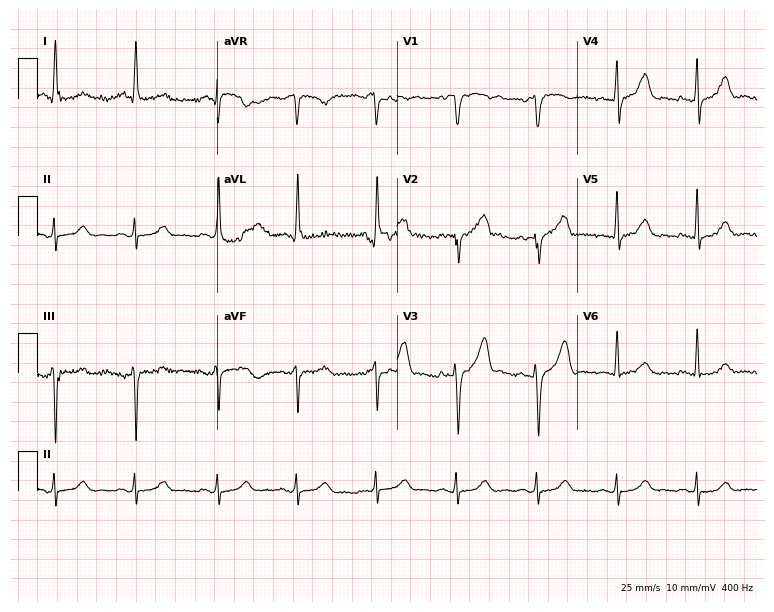
Standard 12-lead ECG recorded from a 63-year-old female patient. Read as a normal ECG.